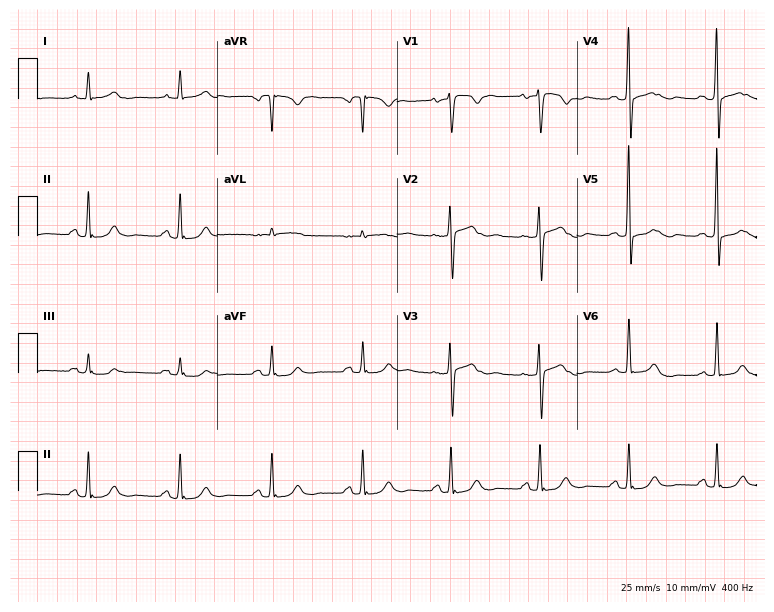
12-lead ECG from a 64-year-old female. Screened for six findings — first-degree AV block, right bundle branch block, left bundle branch block, sinus bradycardia, atrial fibrillation, sinus tachycardia — none is recorded.